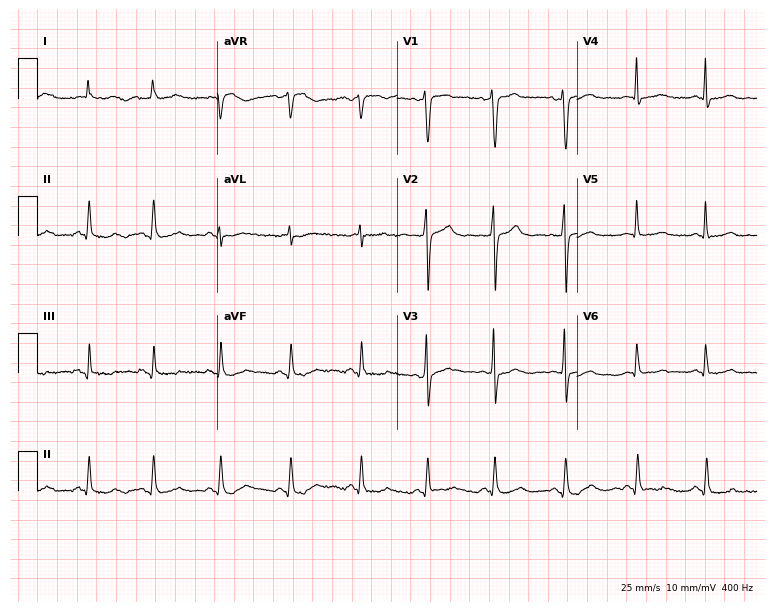
12-lead ECG from a female, 43 years old (7.3-second recording at 400 Hz). No first-degree AV block, right bundle branch block, left bundle branch block, sinus bradycardia, atrial fibrillation or sinus tachycardia recorded for this tracing.